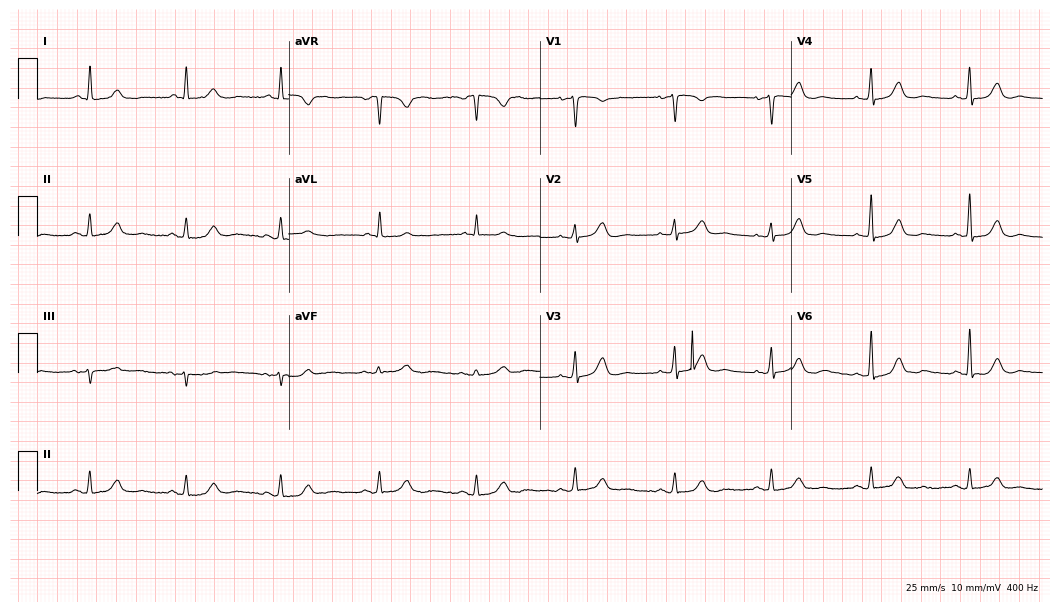
Electrocardiogram, a 58-year-old woman. Overall reading on record: normal ECG.